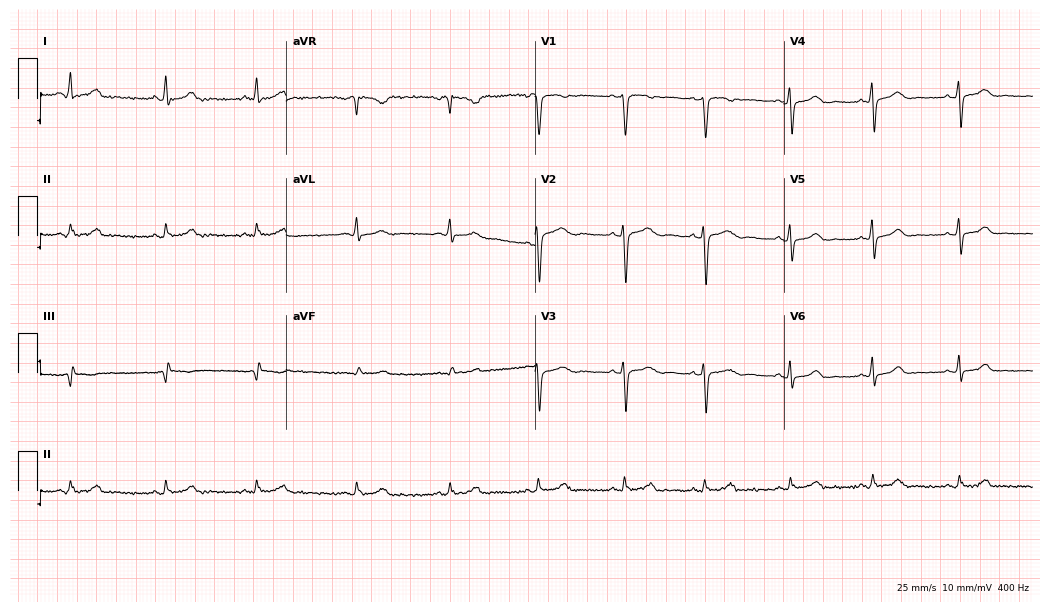
Standard 12-lead ECG recorded from a female patient, 37 years old. Read as a normal ECG.